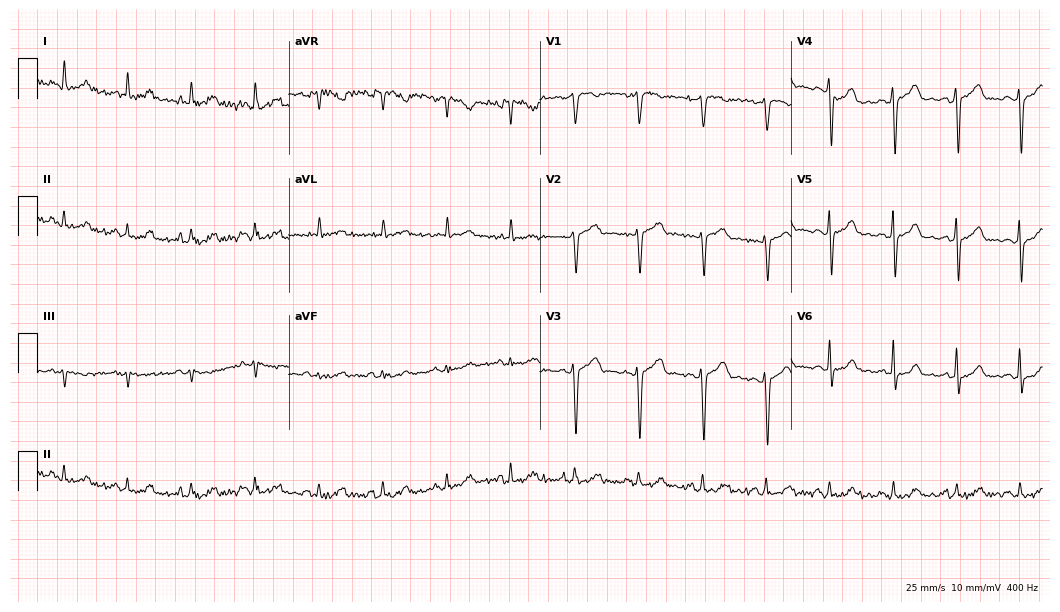
Resting 12-lead electrocardiogram. Patient: a man, 78 years old. Read as a normal ECG.